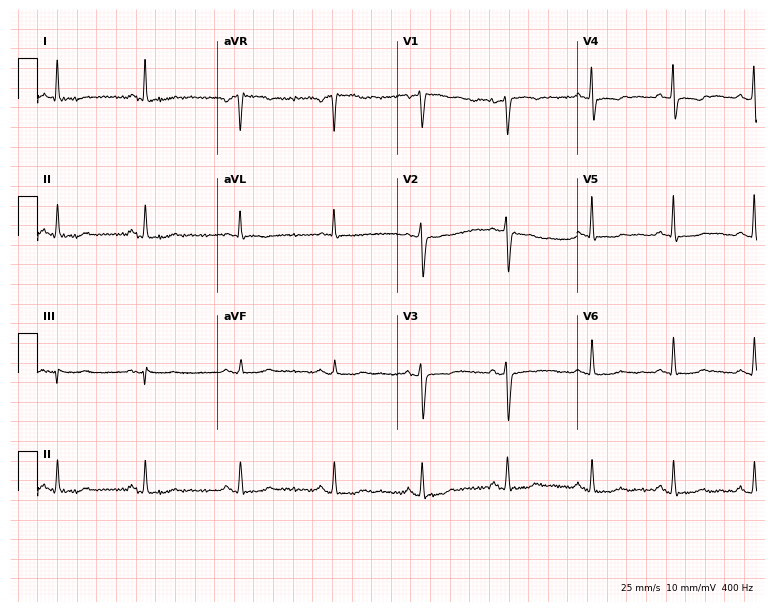
12-lead ECG from a female, 54 years old (7.3-second recording at 400 Hz). No first-degree AV block, right bundle branch block, left bundle branch block, sinus bradycardia, atrial fibrillation or sinus tachycardia recorded for this tracing. Only these six findings were labelled.